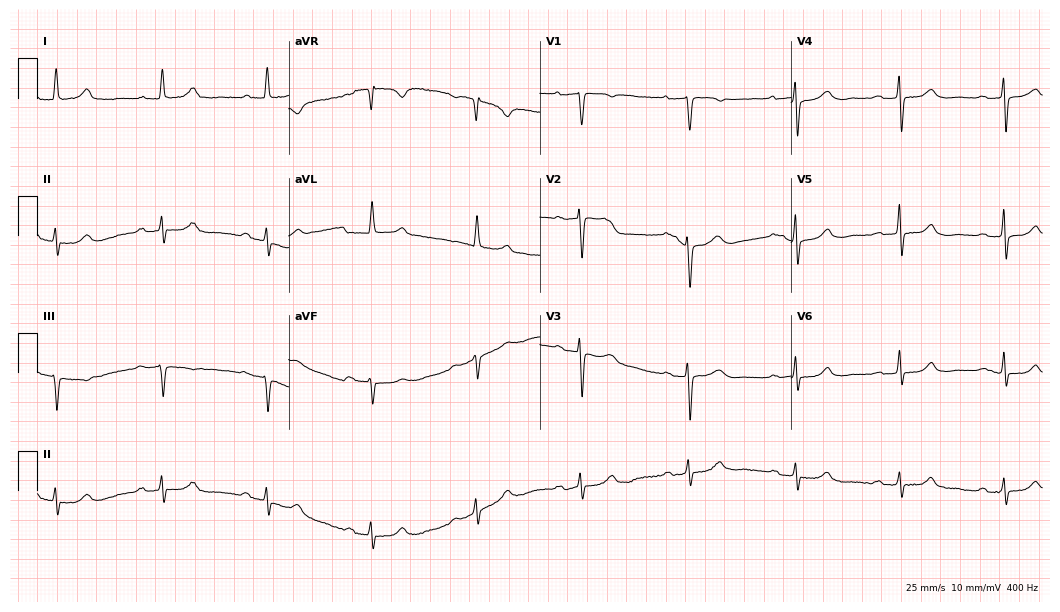
Resting 12-lead electrocardiogram (10.2-second recording at 400 Hz). Patient: a 72-year-old woman. The tracing shows first-degree AV block.